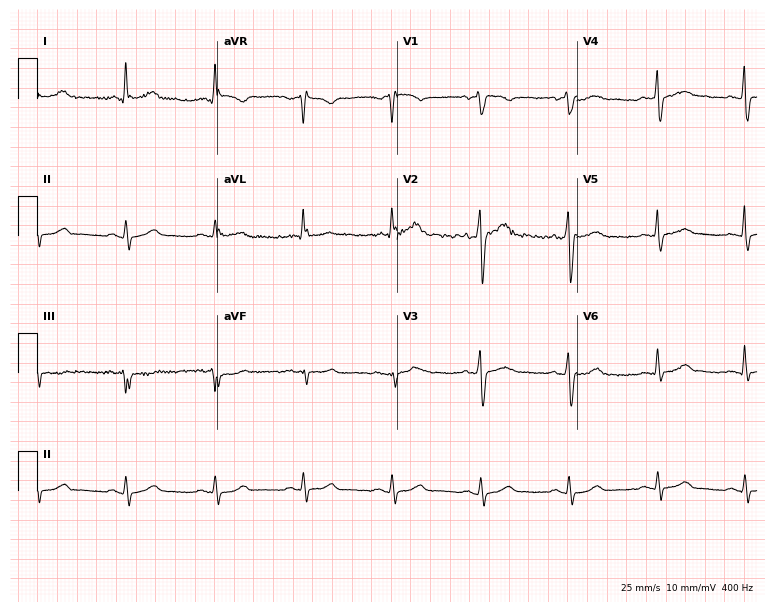
Standard 12-lead ECG recorded from a 53-year-old male. Read as a normal ECG.